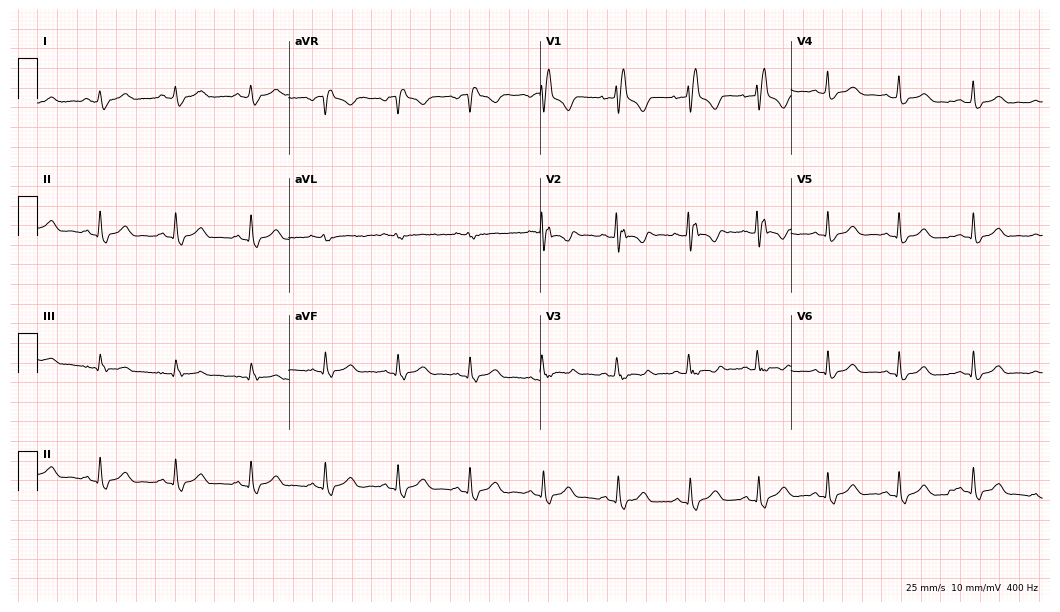
ECG (10.2-second recording at 400 Hz) — a 29-year-old female. Findings include right bundle branch block (RBBB).